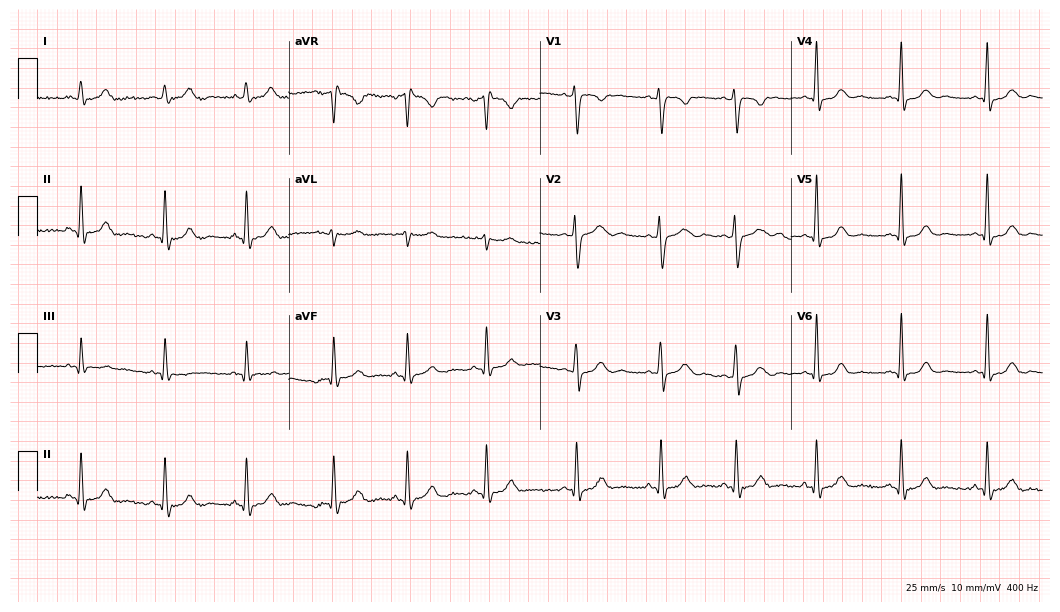
Electrocardiogram (10.2-second recording at 400 Hz), a 22-year-old female patient. Of the six screened findings (first-degree AV block, right bundle branch block, left bundle branch block, sinus bradycardia, atrial fibrillation, sinus tachycardia), none is recorded.